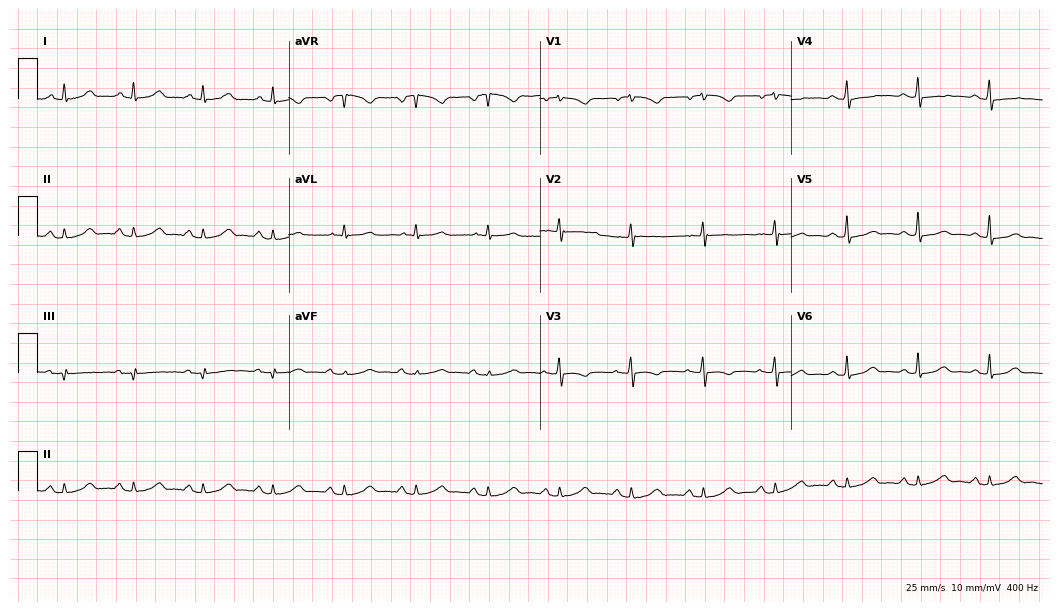
Electrocardiogram, a 61-year-old female patient. Of the six screened findings (first-degree AV block, right bundle branch block, left bundle branch block, sinus bradycardia, atrial fibrillation, sinus tachycardia), none is recorded.